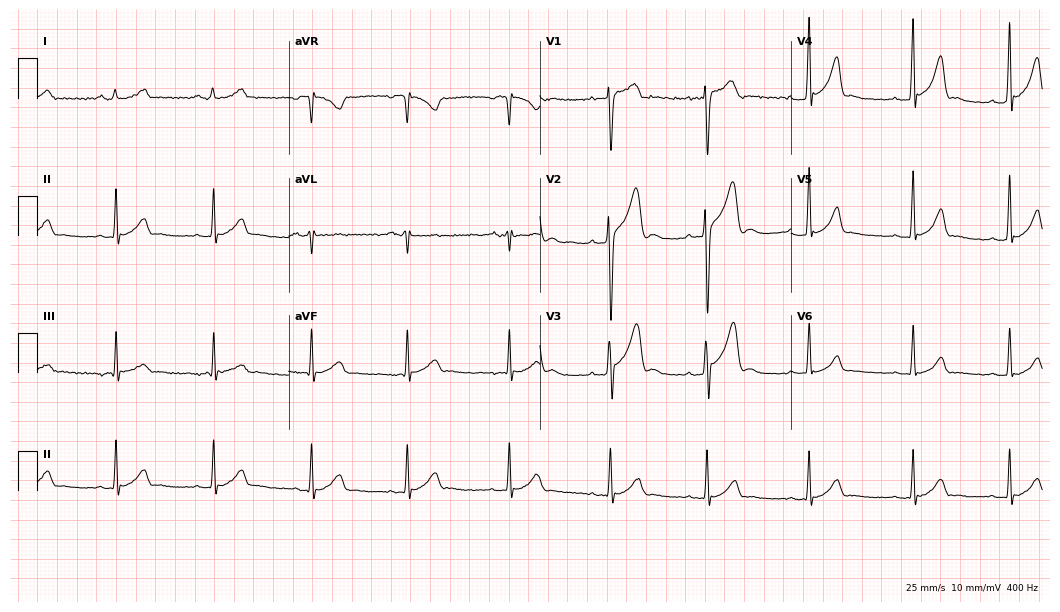
Standard 12-lead ECG recorded from a male patient, 21 years old. Read as a normal ECG.